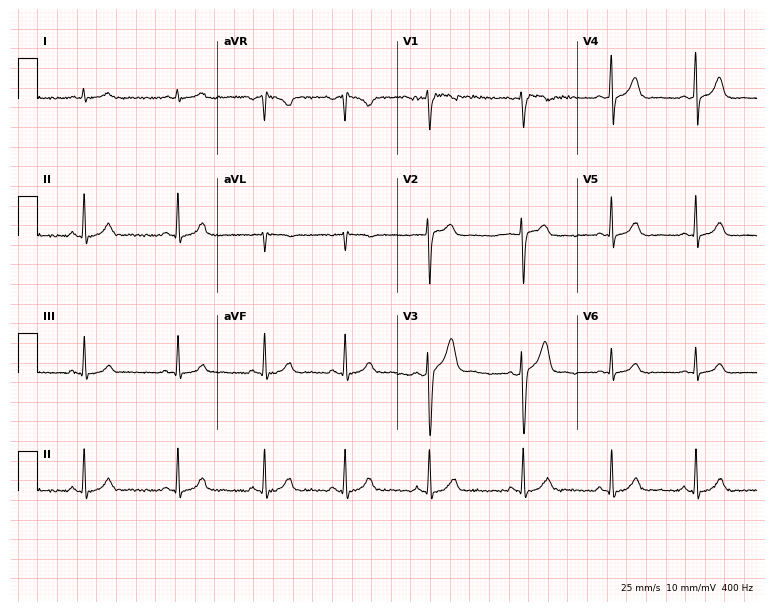
Standard 12-lead ECG recorded from a 38-year-old male patient (7.3-second recording at 400 Hz). Read as a normal ECG.